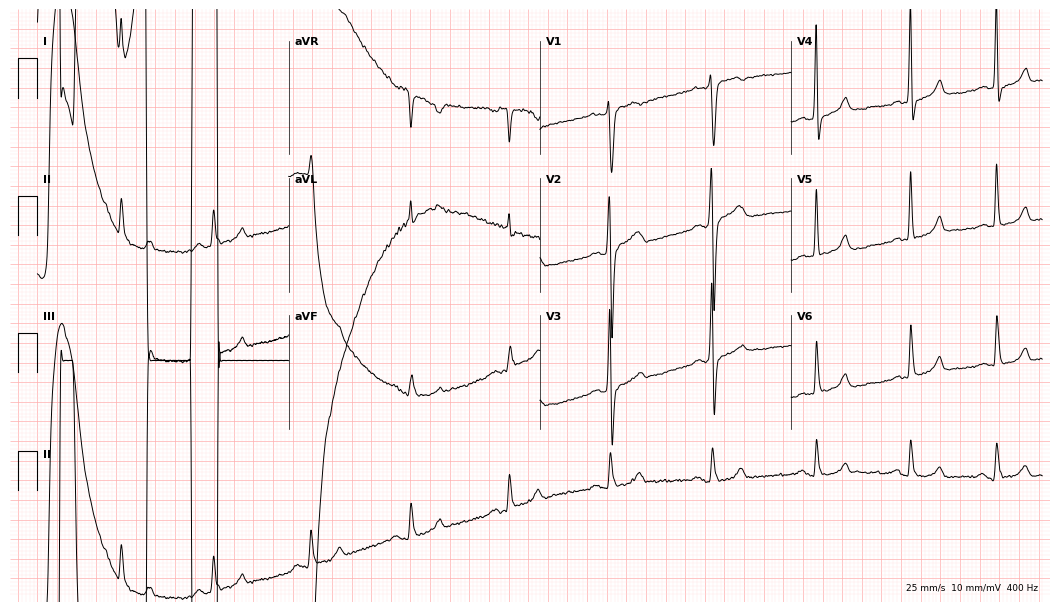
12-lead ECG (10.2-second recording at 400 Hz) from a 54-year-old male patient. Labelled as a normal ECG.